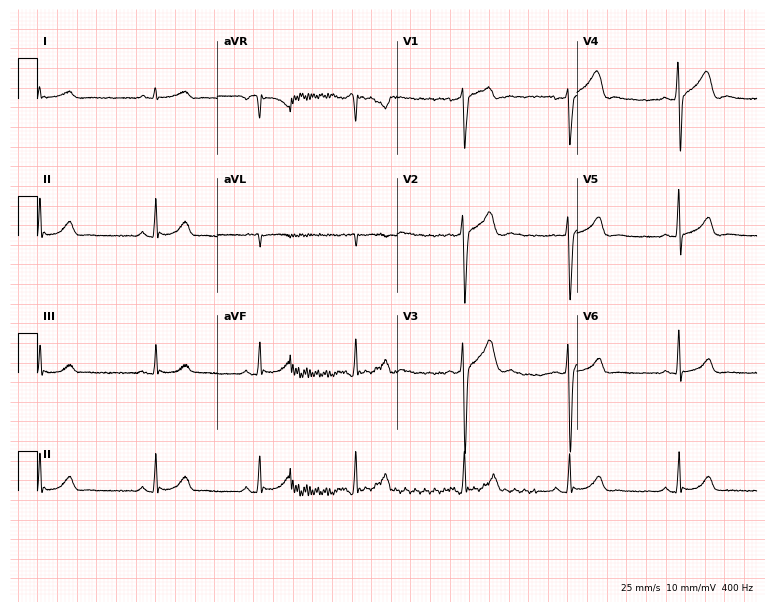
Standard 12-lead ECG recorded from a male, 26 years old. Read as a normal ECG.